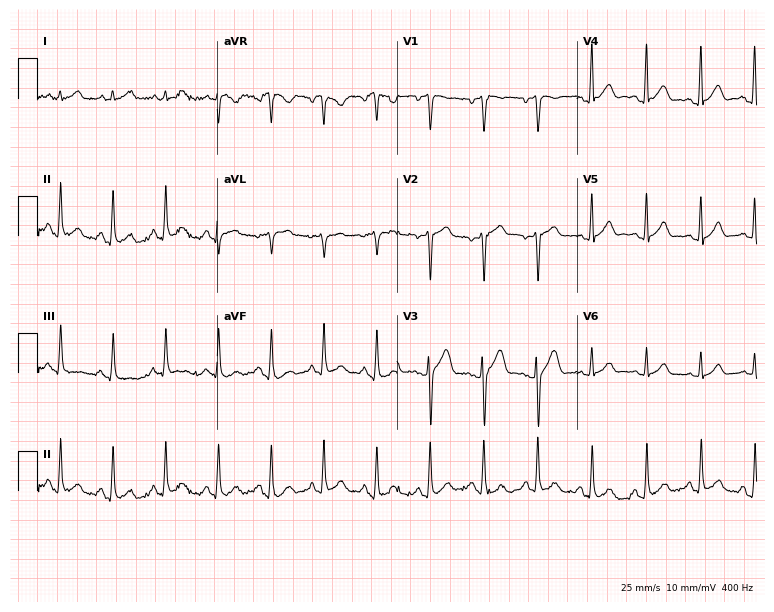
Standard 12-lead ECG recorded from a 22-year-old male (7.3-second recording at 400 Hz). The tracing shows sinus tachycardia (a sinus rate of 100 beats per minute or more).